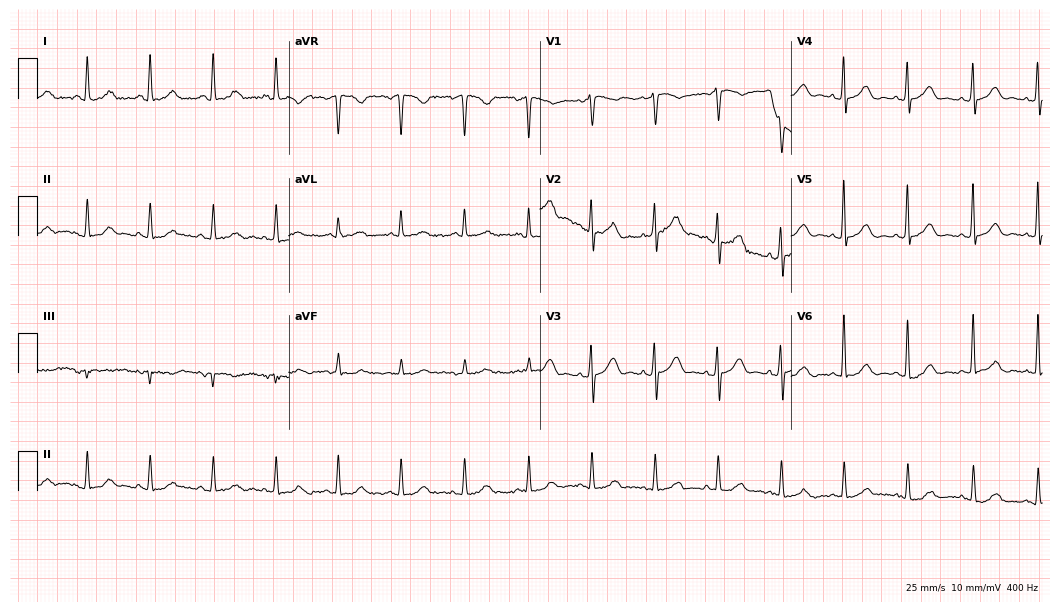
ECG — a 48-year-old female patient. Labelled as a normal ECG.